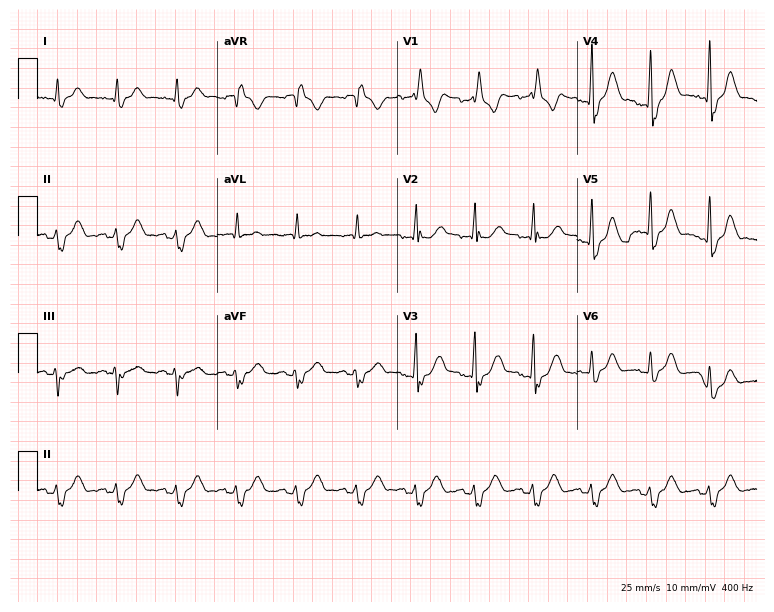
ECG — a 68-year-old male patient. Findings include right bundle branch block.